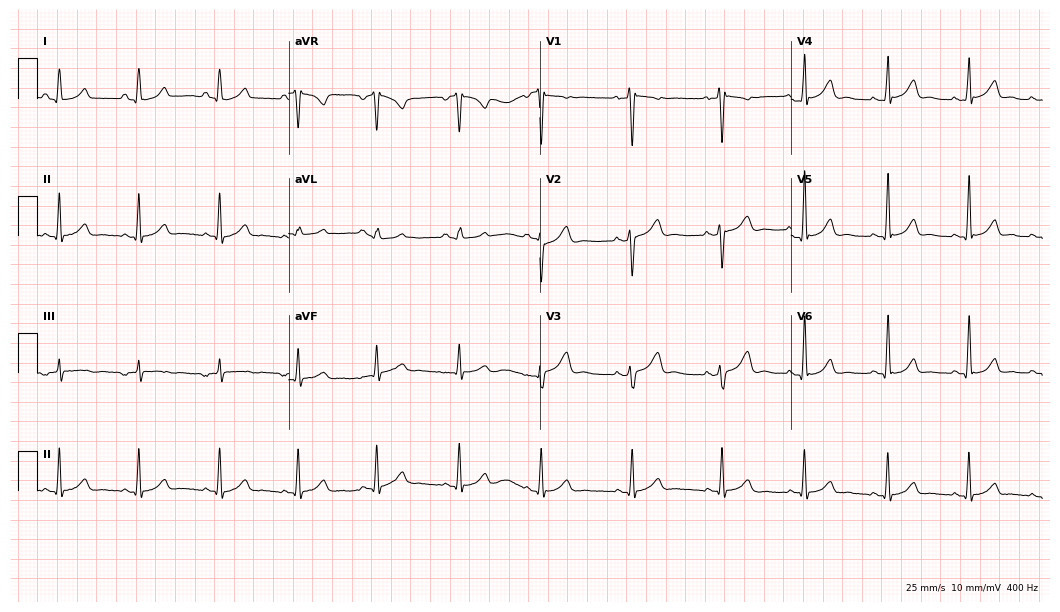
ECG (10.2-second recording at 400 Hz) — a 25-year-old female. Labelled as a normal ECG.